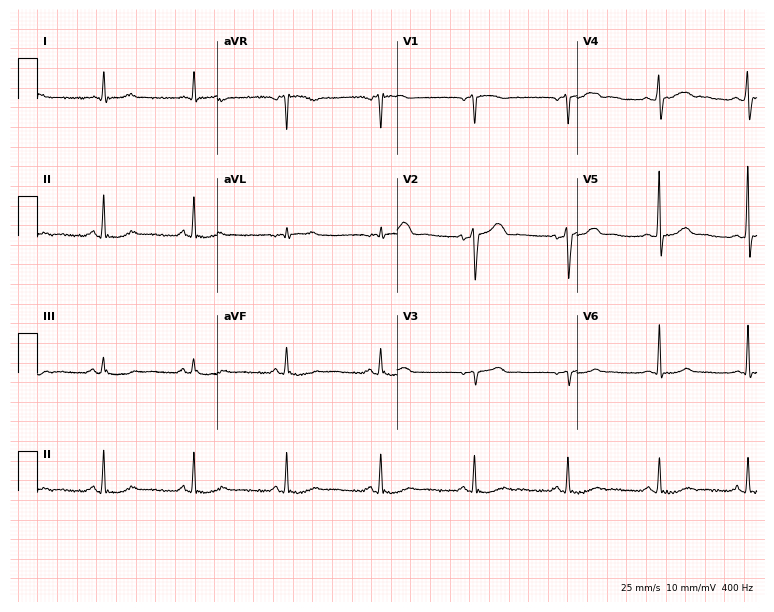
Standard 12-lead ECG recorded from a 64-year-old male. Read as a normal ECG.